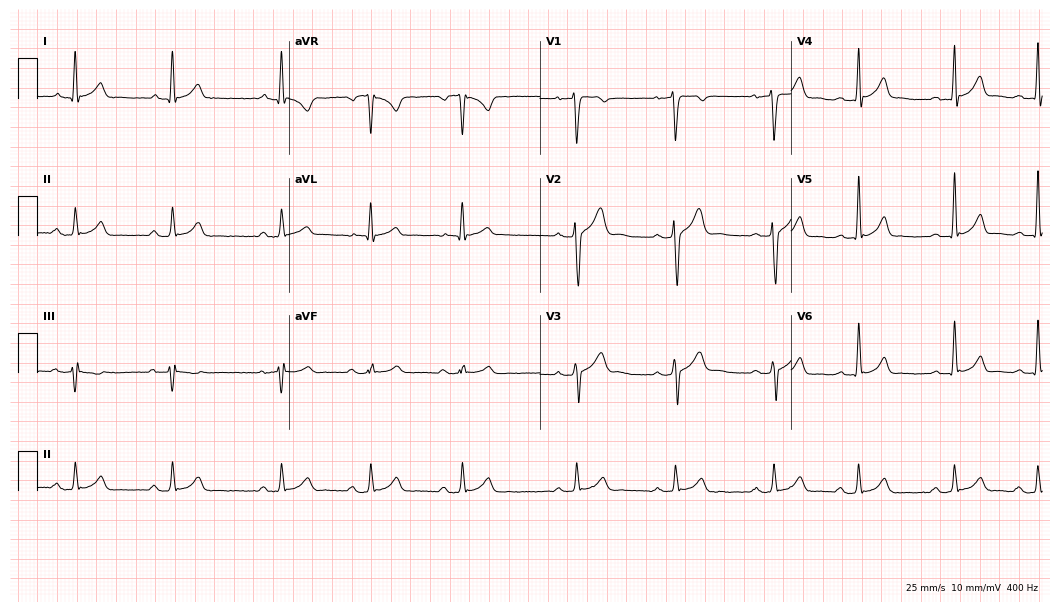
Electrocardiogram, a male, 29 years old. Overall reading on record: normal ECG.